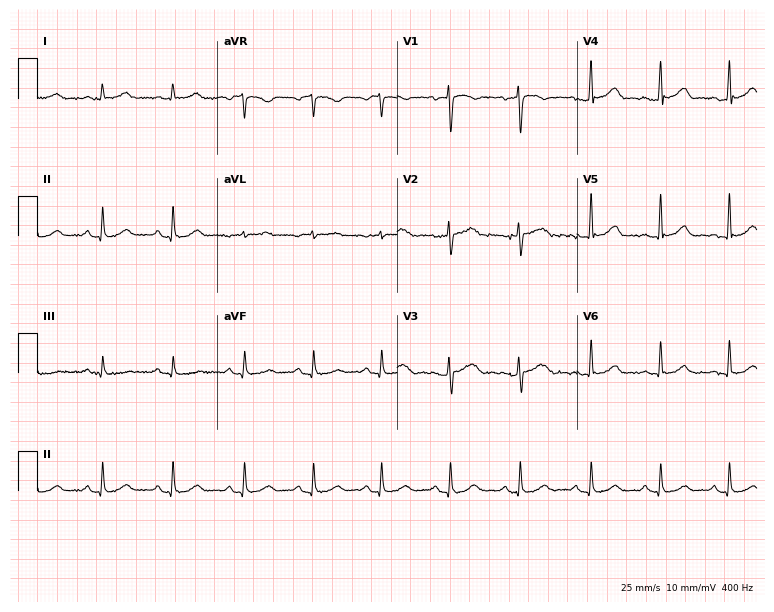
Resting 12-lead electrocardiogram (7.3-second recording at 400 Hz). Patient: a 38-year-old woman. Read as a normal ECG.